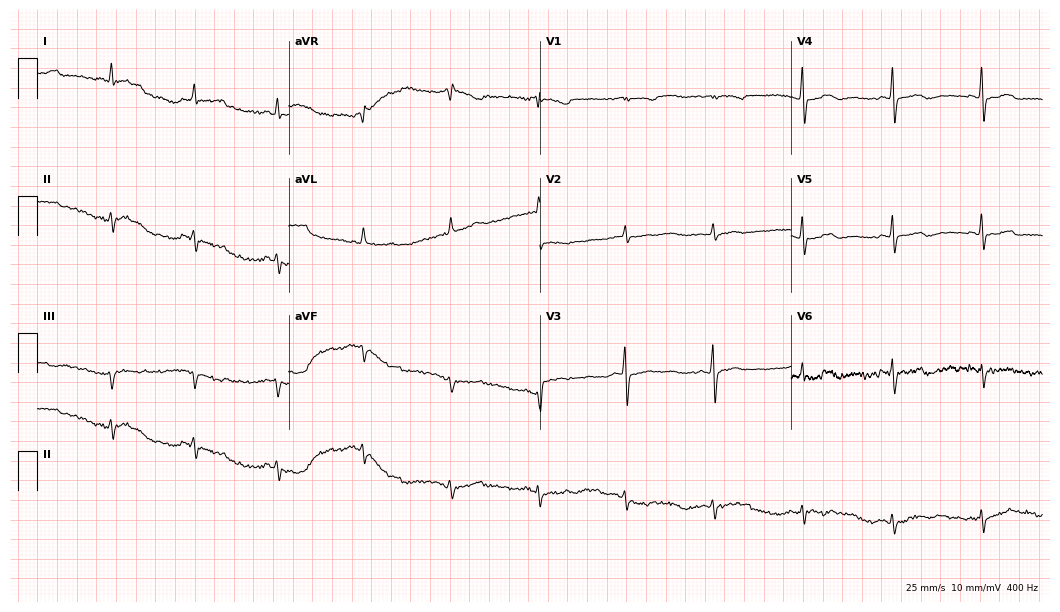
Resting 12-lead electrocardiogram. Patient: a woman, 74 years old. None of these six findings is recorded: first-degree AV block, right bundle branch block (RBBB), left bundle branch block (LBBB), sinus bradycardia, atrial fibrillation (AF), sinus tachycardia.